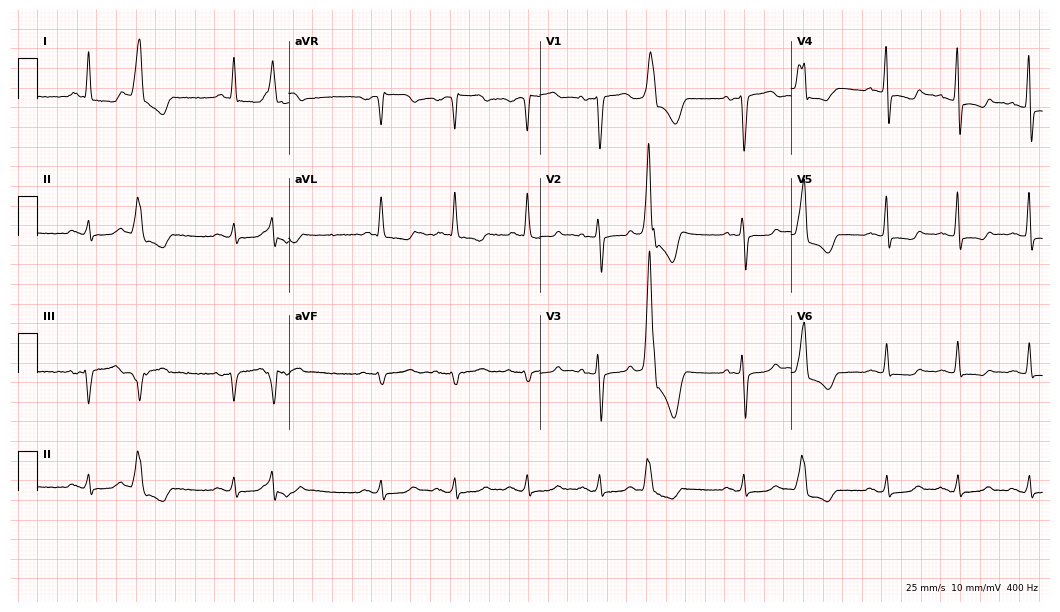
12-lead ECG from a woman, 69 years old. Screened for six findings — first-degree AV block, right bundle branch block, left bundle branch block, sinus bradycardia, atrial fibrillation, sinus tachycardia — none is recorded.